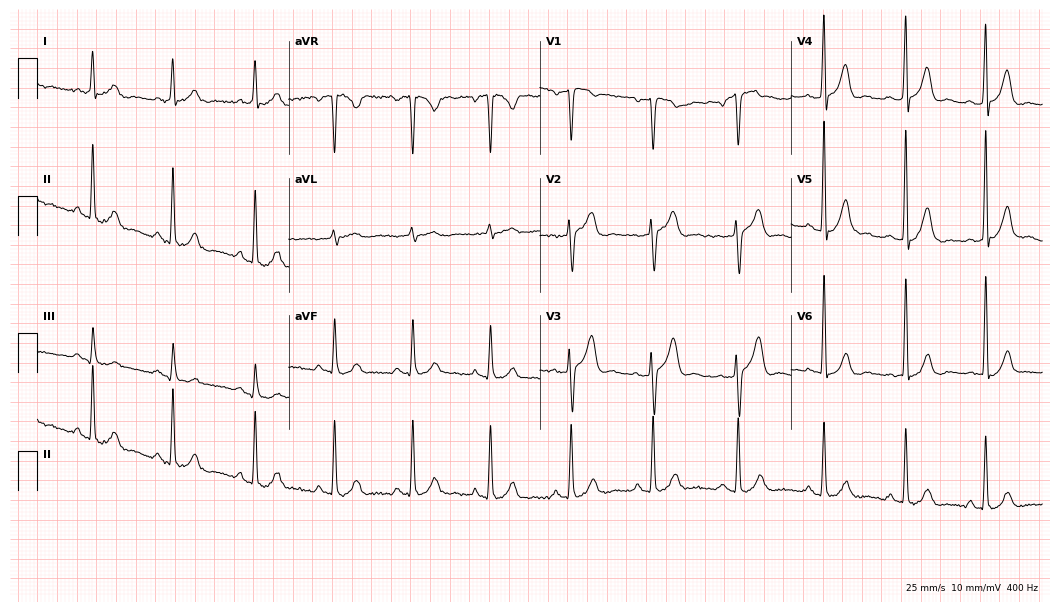
12-lead ECG from a 62-year-old male patient. Recorded interpretation: within normal limits.